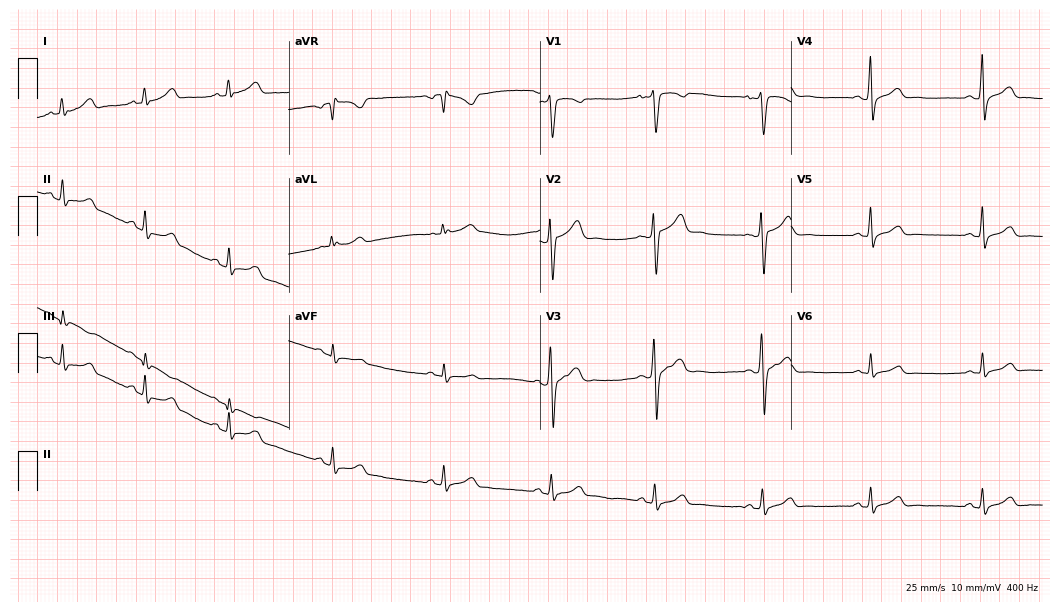
ECG (10.2-second recording at 400 Hz) — a 33-year-old female patient. Screened for six findings — first-degree AV block, right bundle branch block, left bundle branch block, sinus bradycardia, atrial fibrillation, sinus tachycardia — none is recorded.